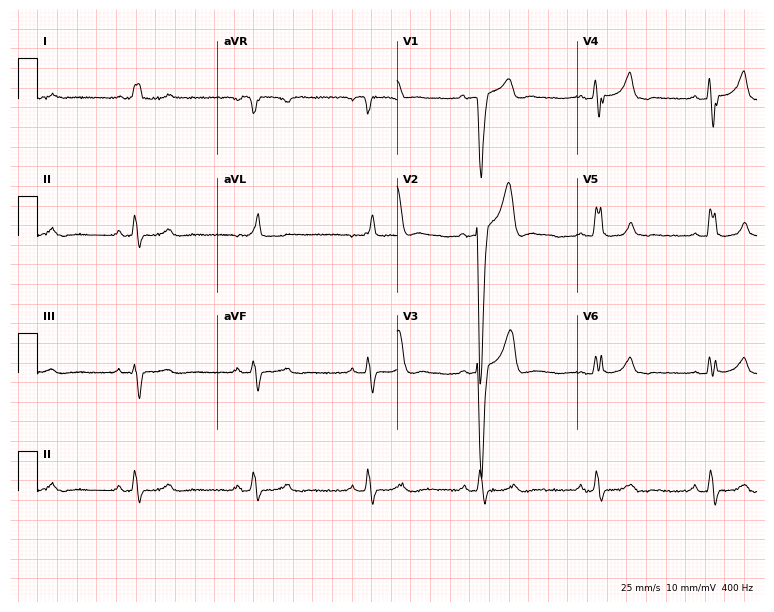
Standard 12-lead ECG recorded from a man, 72 years old. The tracing shows left bundle branch block.